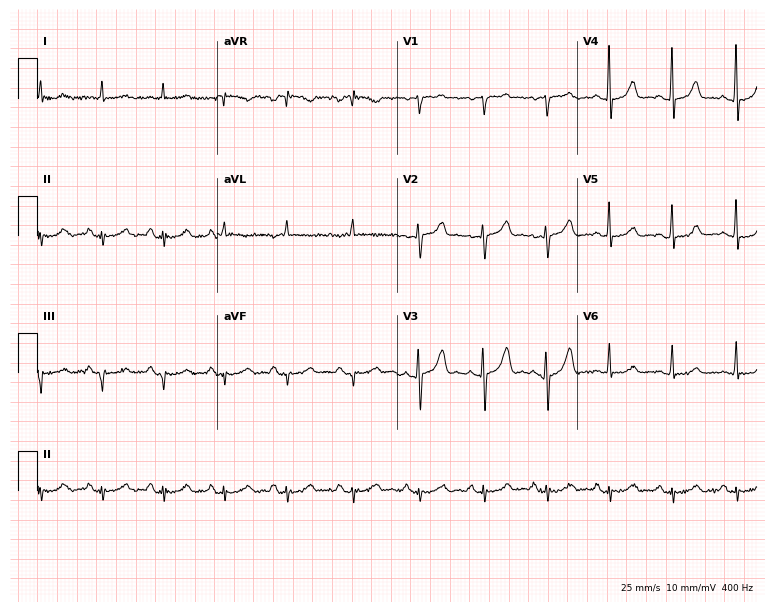
Standard 12-lead ECG recorded from a 75-year-old man (7.3-second recording at 400 Hz). None of these six findings is recorded: first-degree AV block, right bundle branch block (RBBB), left bundle branch block (LBBB), sinus bradycardia, atrial fibrillation (AF), sinus tachycardia.